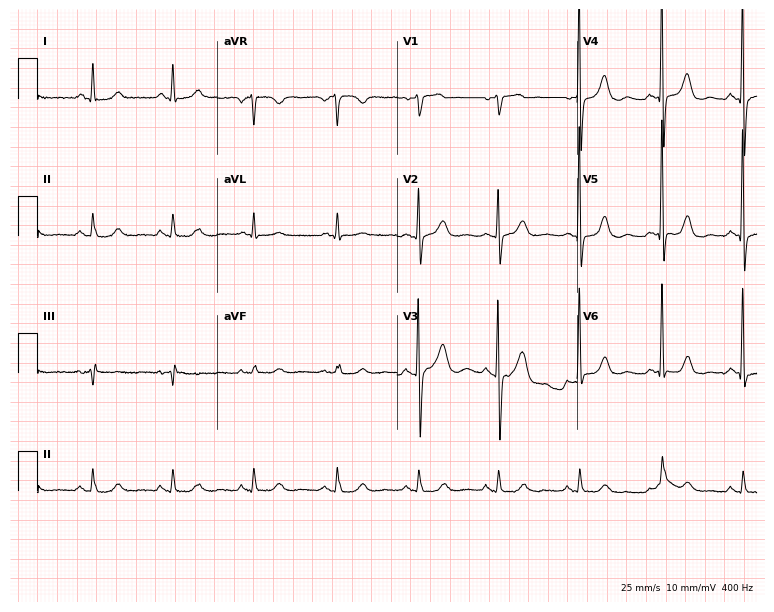
Electrocardiogram, a woman, 77 years old. Overall reading on record: normal ECG.